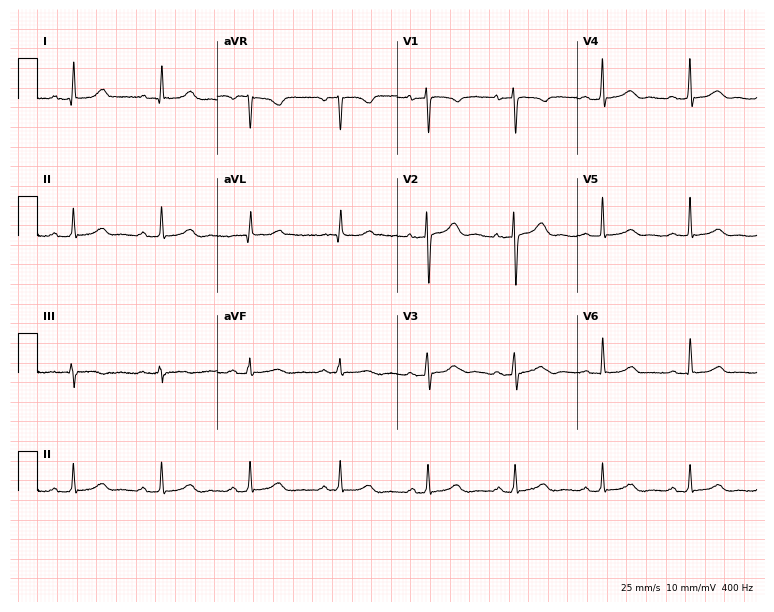
Resting 12-lead electrocardiogram (7.3-second recording at 400 Hz). Patient: a female, 39 years old. Read as a normal ECG.